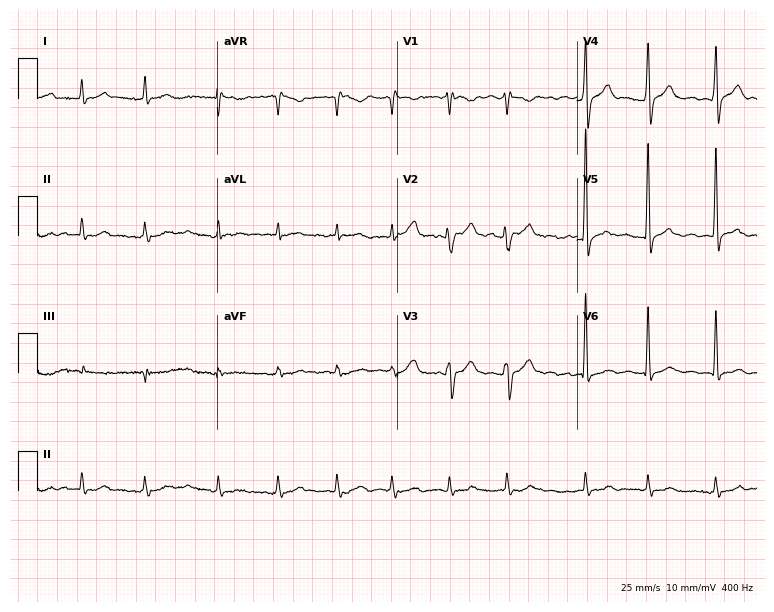
12-lead ECG from a male patient, 82 years old. Findings include atrial fibrillation.